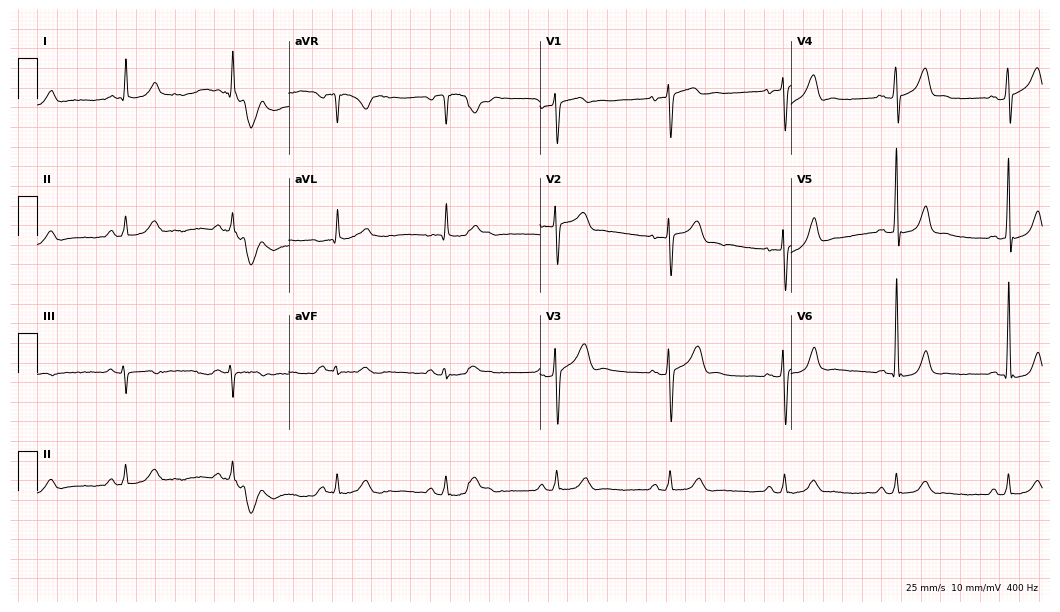
Standard 12-lead ECG recorded from a male patient, 57 years old (10.2-second recording at 400 Hz). None of these six findings is recorded: first-degree AV block, right bundle branch block, left bundle branch block, sinus bradycardia, atrial fibrillation, sinus tachycardia. Findings outside these six are not listed.